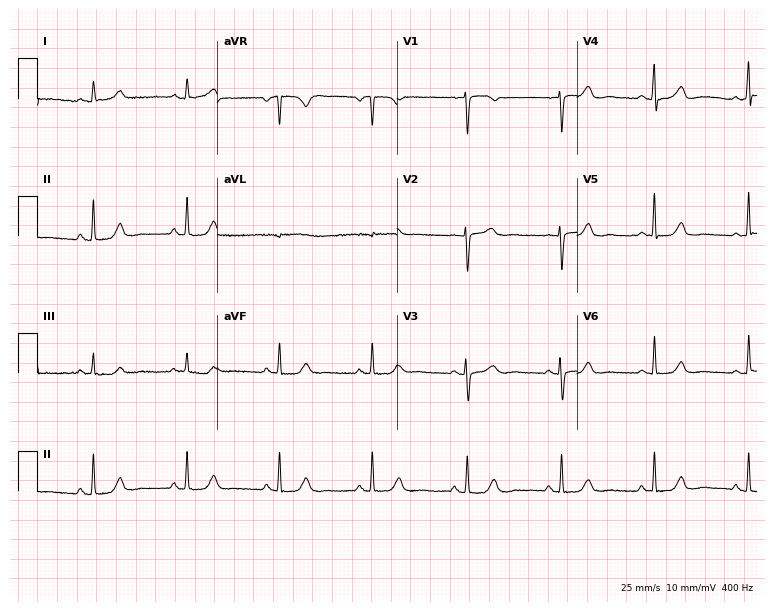
Resting 12-lead electrocardiogram. Patient: a woman, 44 years old. Read as a normal ECG.